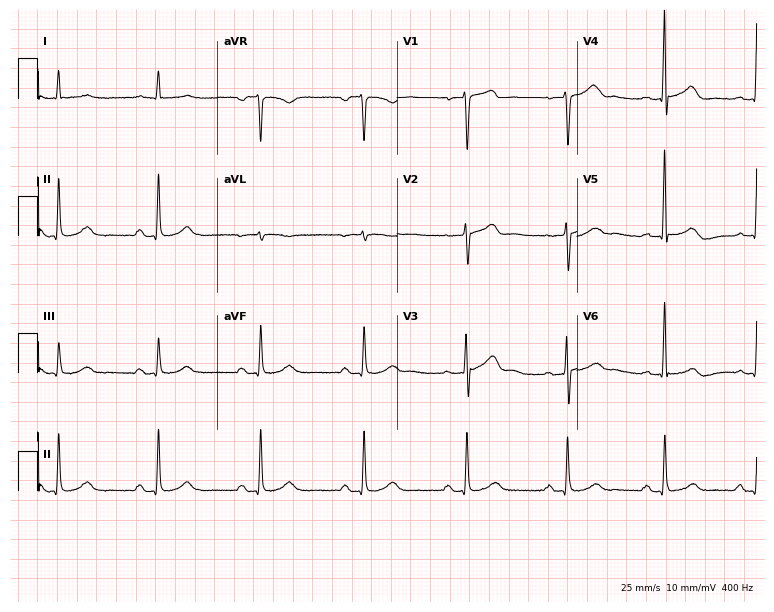
Standard 12-lead ECG recorded from a 67-year-old male patient. None of these six findings is recorded: first-degree AV block, right bundle branch block (RBBB), left bundle branch block (LBBB), sinus bradycardia, atrial fibrillation (AF), sinus tachycardia. Only these six findings were labelled.